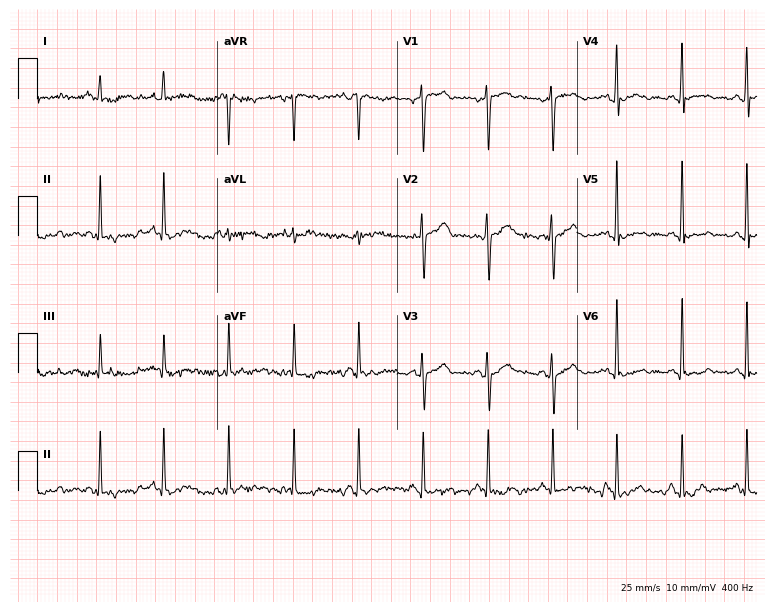
12-lead ECG from a female patient, 45 years old. Labelled as a normal ECG.